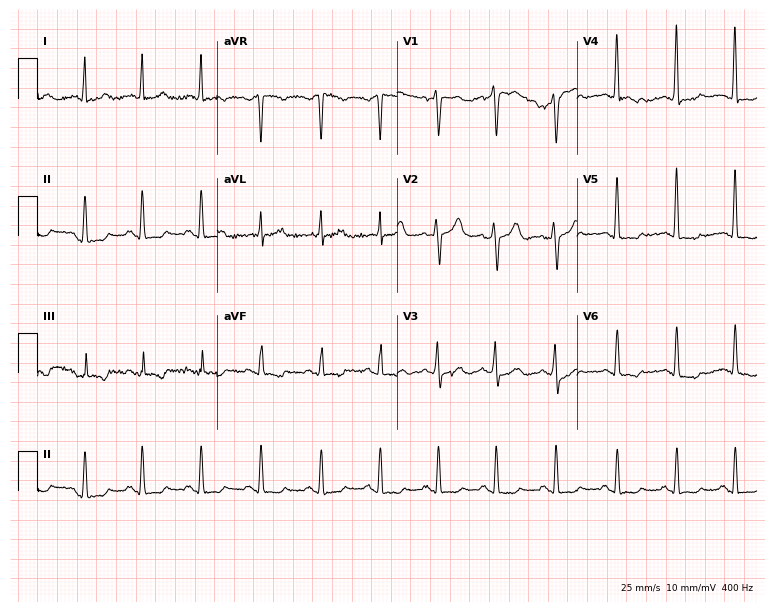
ECG — a 66-year-old female. Labelled as a normal ECG.